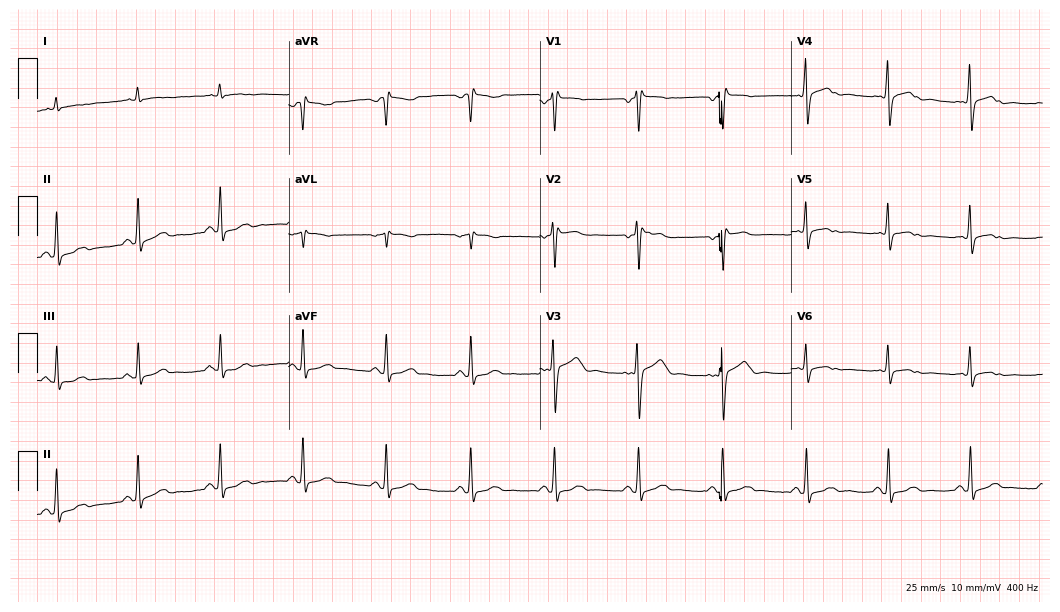
Standard 12-lead ECG recorded from a male, 59 years old (10.2-second recording at 400 Hz). Read as a normal ECG.